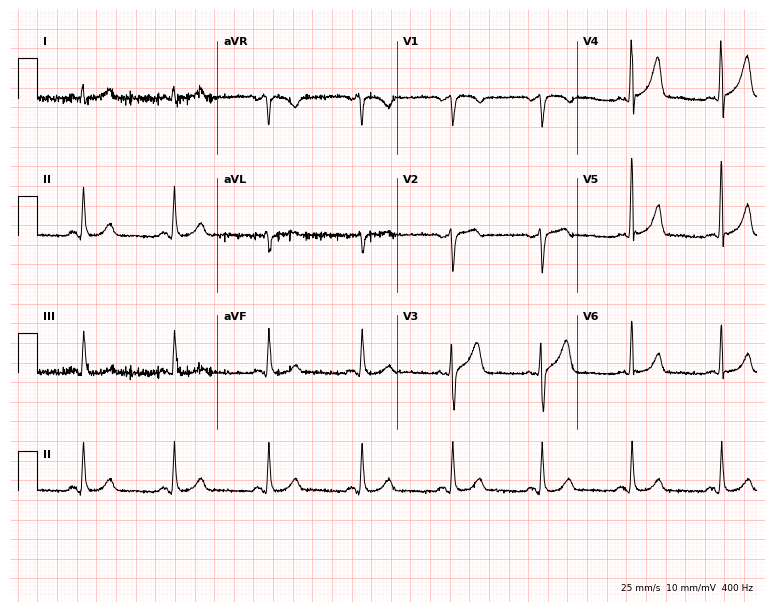
ECG — a male, 65 years old. Screened for six findings — first-degree AV block, right bundle branch block, left bundle branch block, sinus bradycardia, atrial fibrillation, sinus tachycardia — none is recorded. Findings outside these six are not listed.